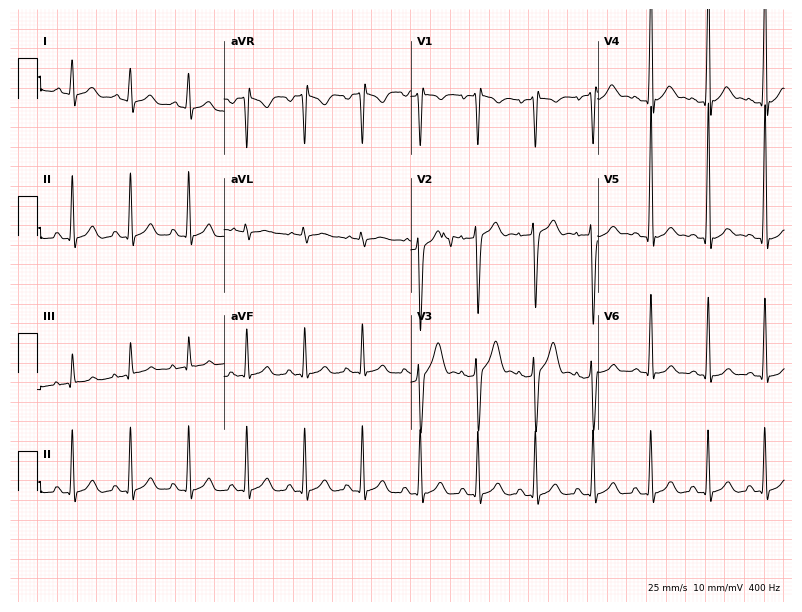
12-lead ECG from a male patient, 24 years old (7.6-second recording at 400 Hz). No first-degree AV block, right bundle branch block (RBBB), left bundle branch block (LBBB), sinus bradycardia, atrial fibrillation (AF) or sinus tachycardia recorded for this tracing.